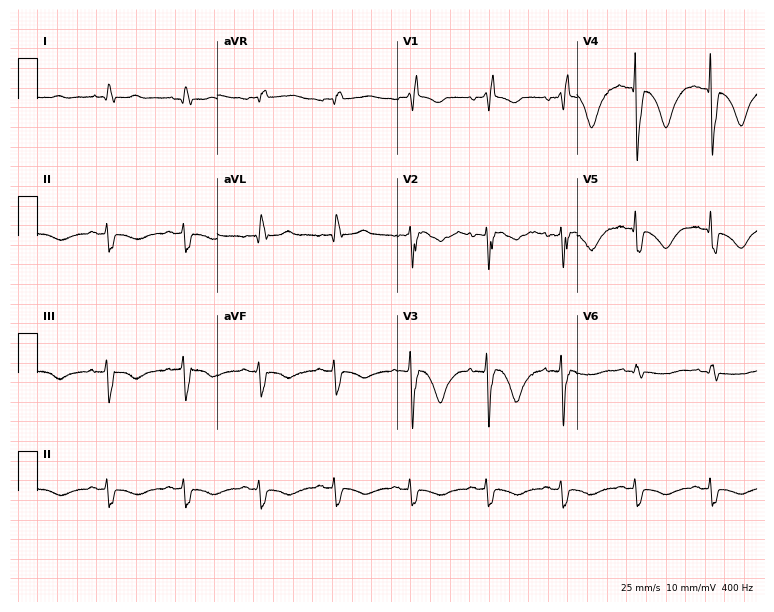
12-lead ECG from a female, 85 years old. Shows right bundle branch block (RBBB).